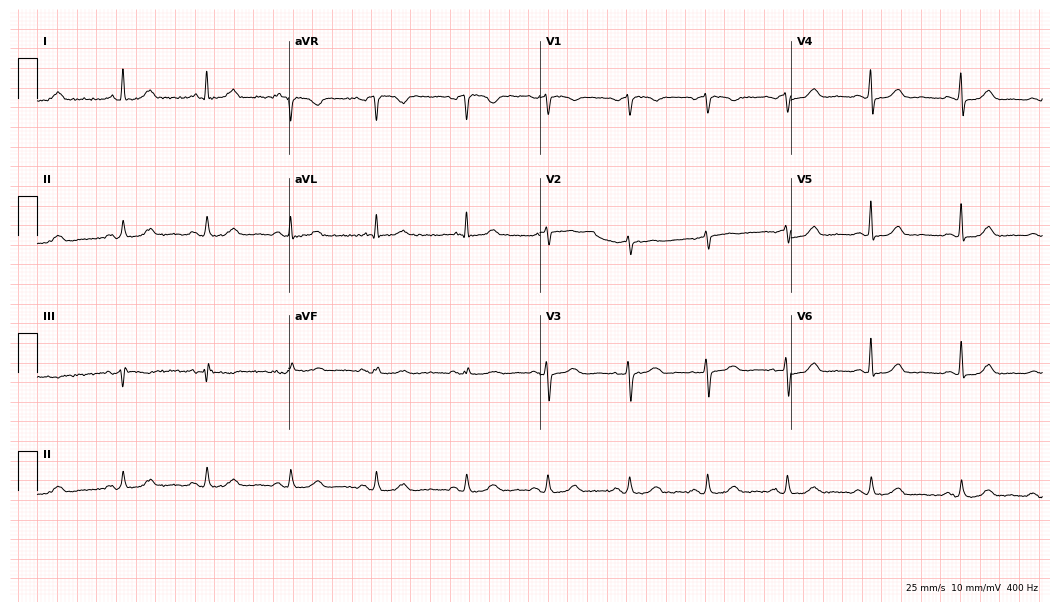
Electrocardiogram (10.2-second recording at 400 Hz), a 76-year-old female patient. Overall reading on record: normal ECG.